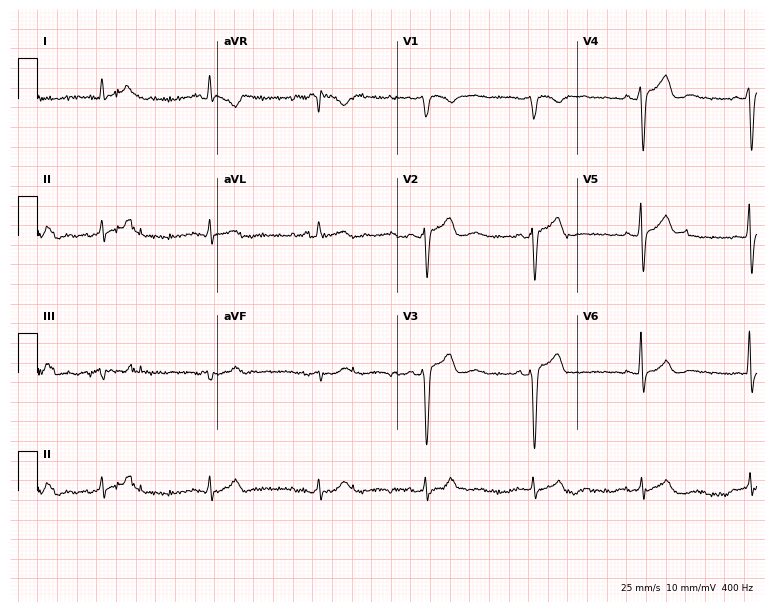
Resting 12-lead electrocardiogram (7.3-second recording at 400 Hz). Patient: a male, 72 years old. None of these six findings is recorded: first-degree AV block, right bundle branch block, left bundle branch block, sinus bradycardia, atrial fibrillation, sinus tachycardia.